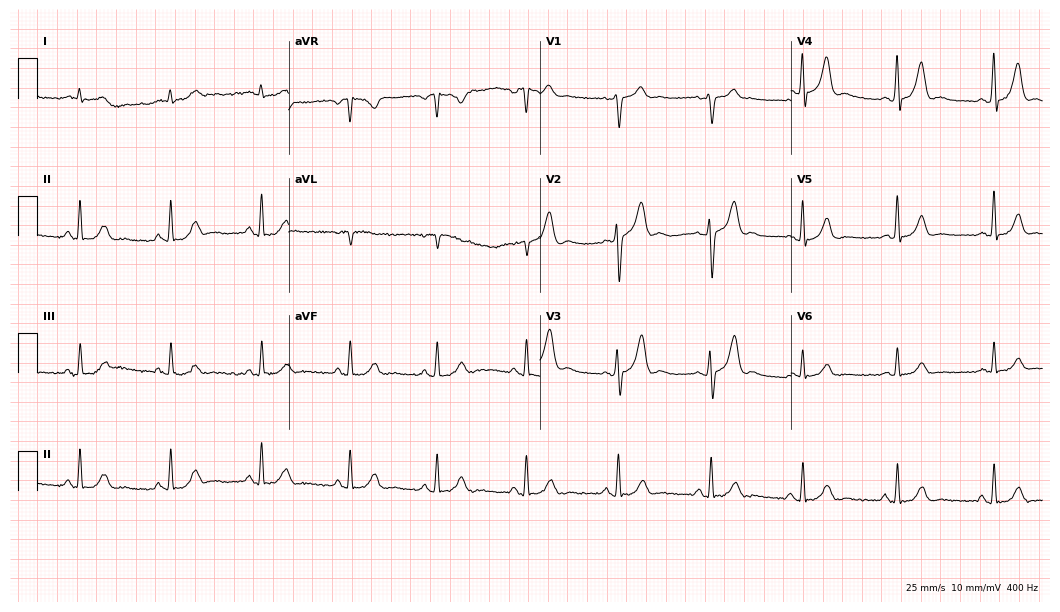
12-lead ECG from a 56-year-old male (10.2-second recording at 400 Hz). No first-degree AV block, right bundle branch block (RBBB), left bundle branch block (LBBB), sinus bradycardia, atrial fibrillation (AF) or sinus tachycardia recorded for this tracing.